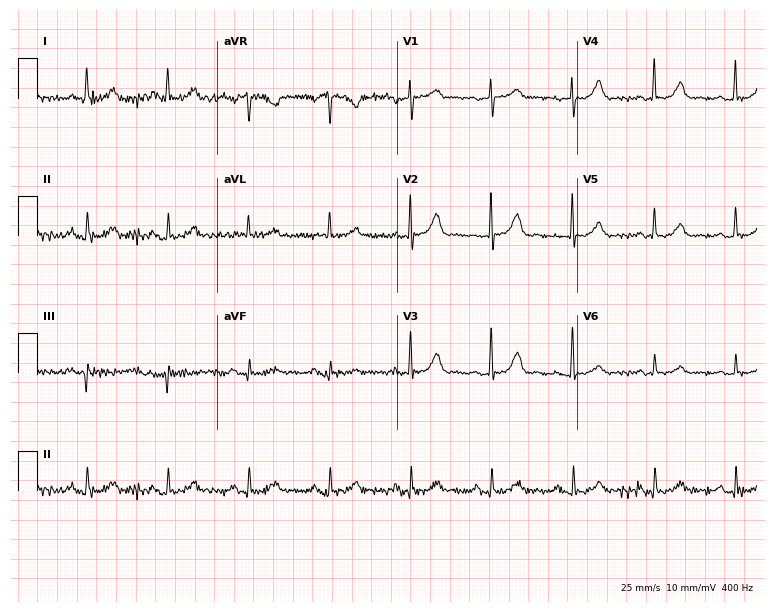
Resting 12-lead electrocardiogram (7.3-second recording at 400 Hz). Patient: a woman, 77 years old. Read as a normal ECG.